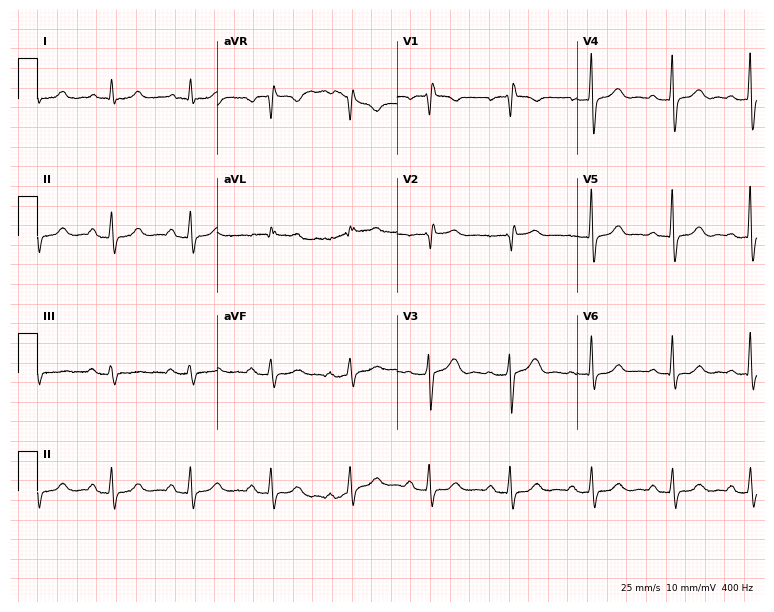
ECG — a female, 70 years old. Findings include first-degree AV block.